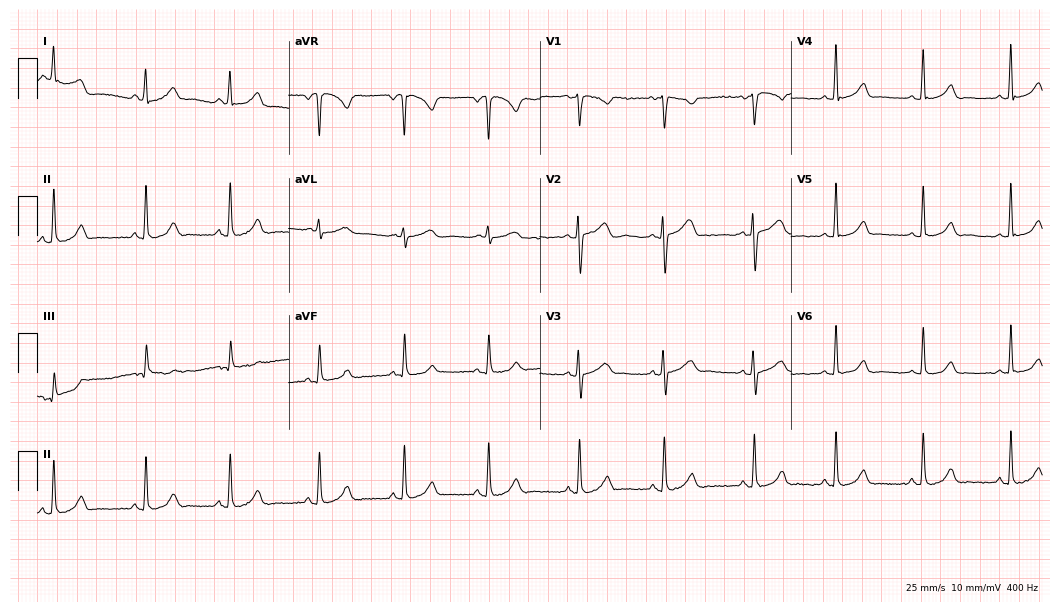
ECG — a 24-year-old female patient. Labelled as a normal ECG.